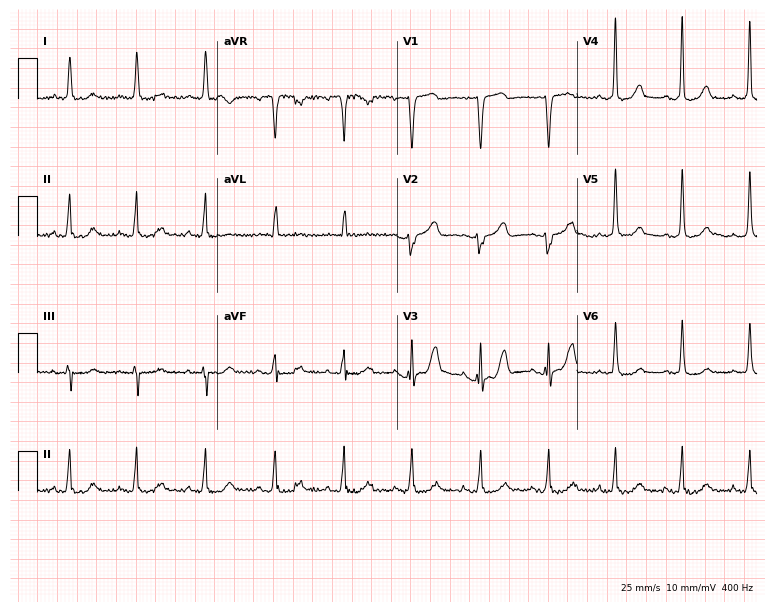
Standard 12-lead ECG recorded from an 81-year-old female. Read as a normal ECG.